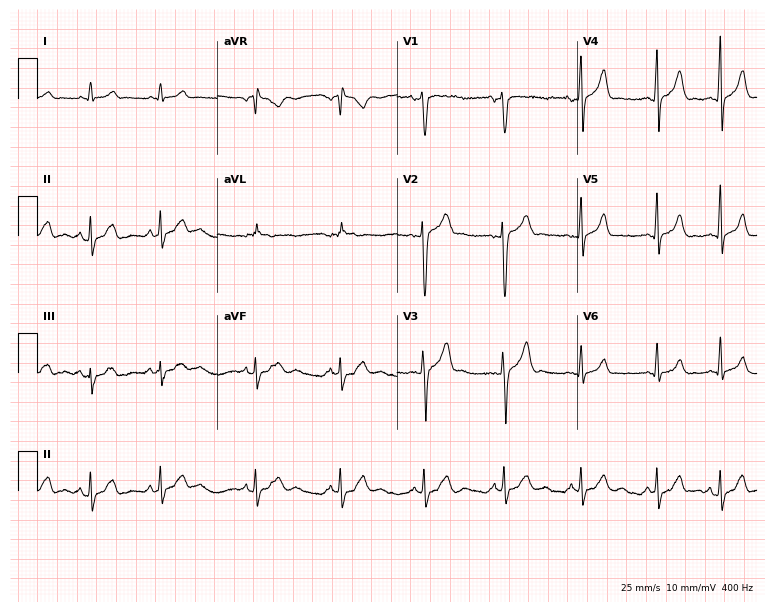
Standard 12-lead ECG recorded from a male, 22 years old. None of these six findings is recorded: first-degree AV block, right bundle branch block, left bundle branch block, sinus bradycardia, atrial fibrillation, sinus tachycardia.